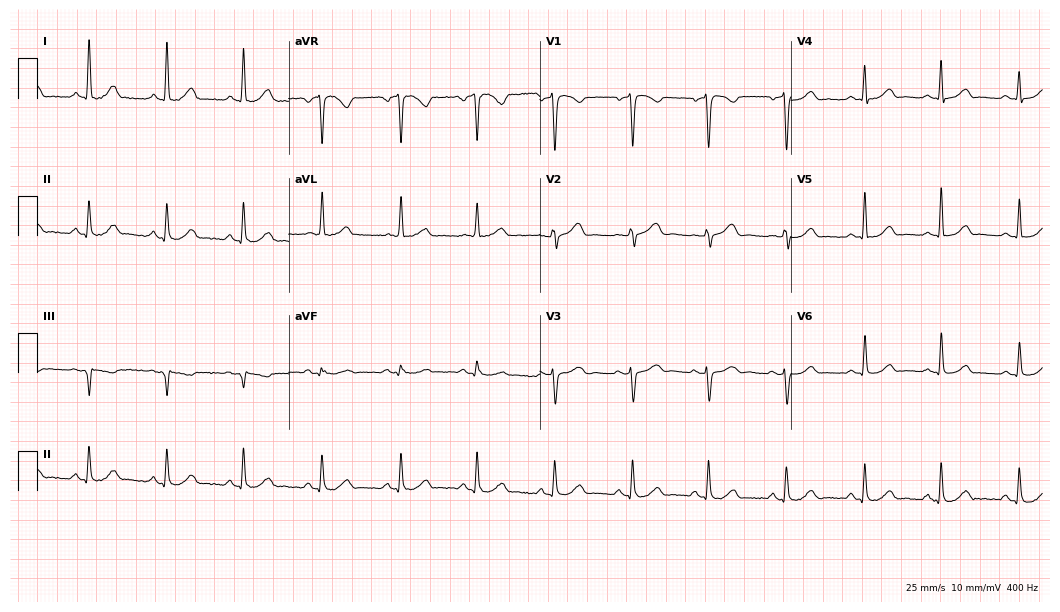
ECG — a 51-year-old female patient. Screened for six findings — first-degree AV block, right bundle branch block, left bundle branch block, sinus bradycardia, atrial fibrillation, sinus tachycardia — none is recorded. Only these six findings were labelled.